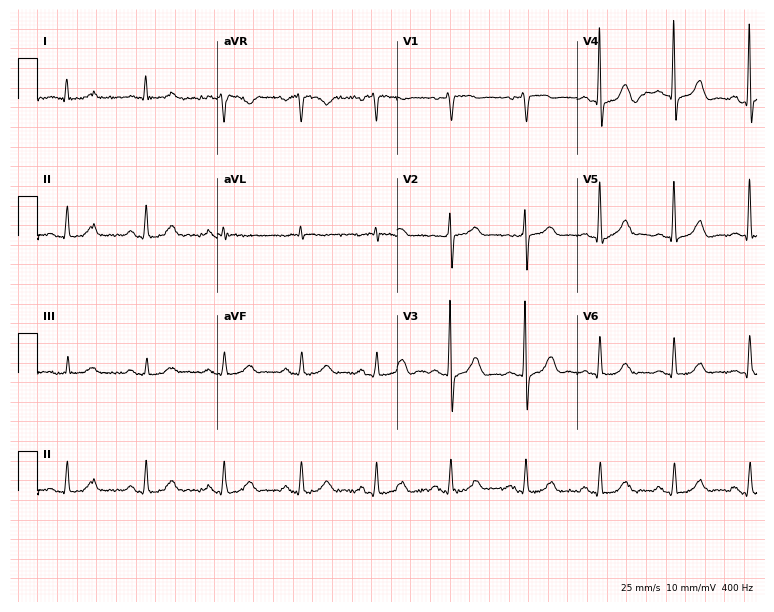
Standard 12-lead ECG recorded from a male, 80 years old (7.3-second recording at 400 Hz). Read as a normal ECG.